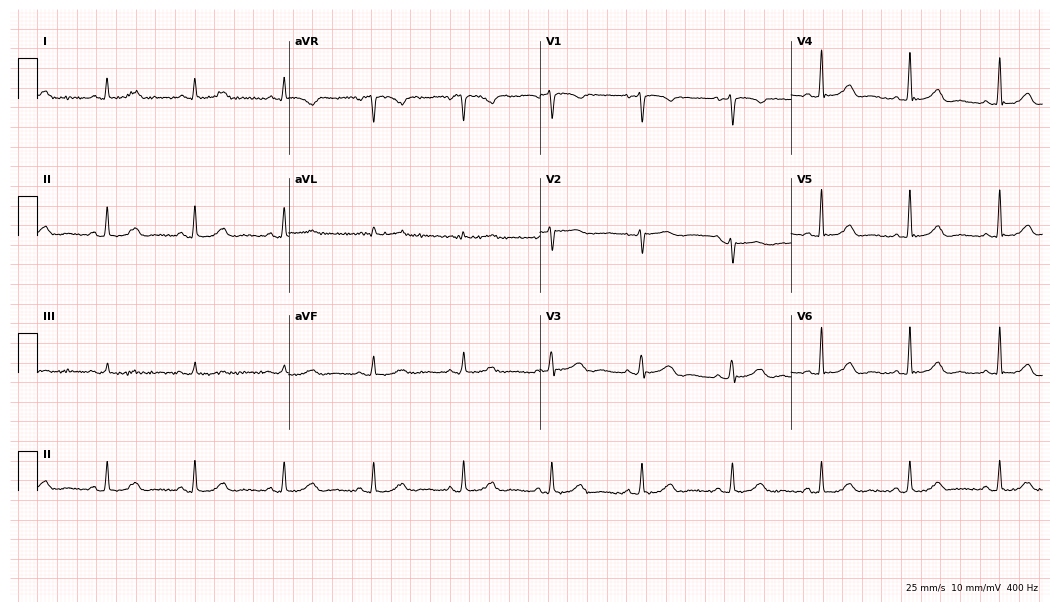
Electrocardiogram (10.2-second recording at 400 Hz), a female, 60 years old. Overall reading on record: normal ECG.